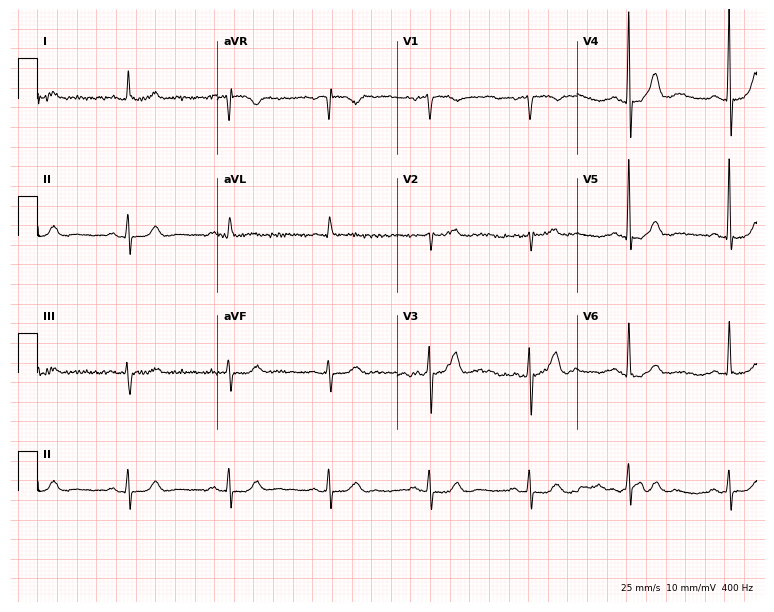
Resting 12-lead electrocardiogram. Patient: a male, 76 years old. None of these six findings is recorded: first-degree AV block, right bundle branch block, left bundle branch block, sinus bradycardia, atrial fibrillation, sinus tachycardia. Other findings, if any, are not listed.